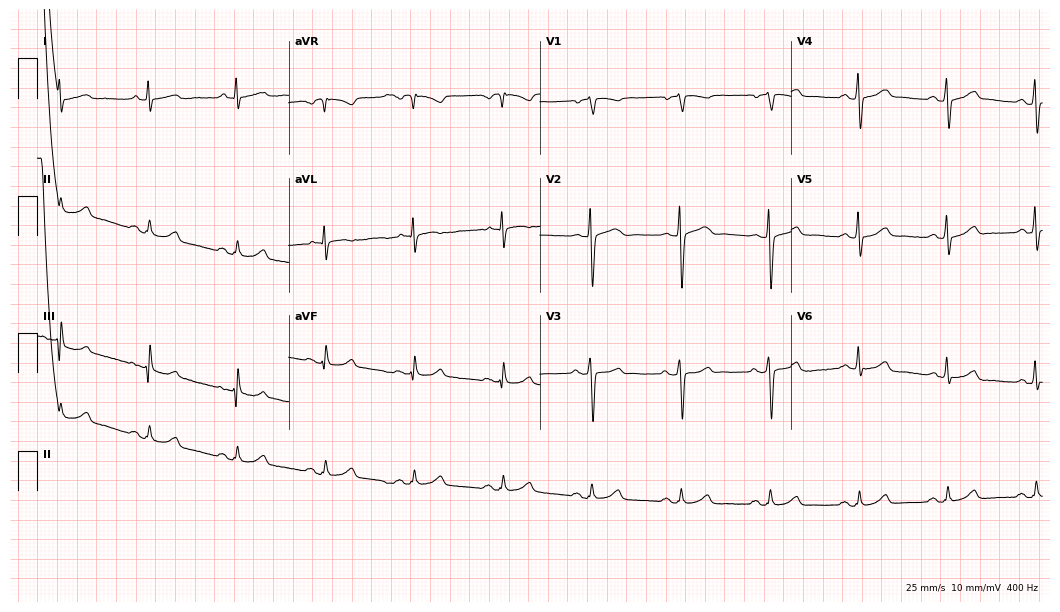
12-lead ECG from a man, 59 years old. Recorded interpretation: within normal limits.